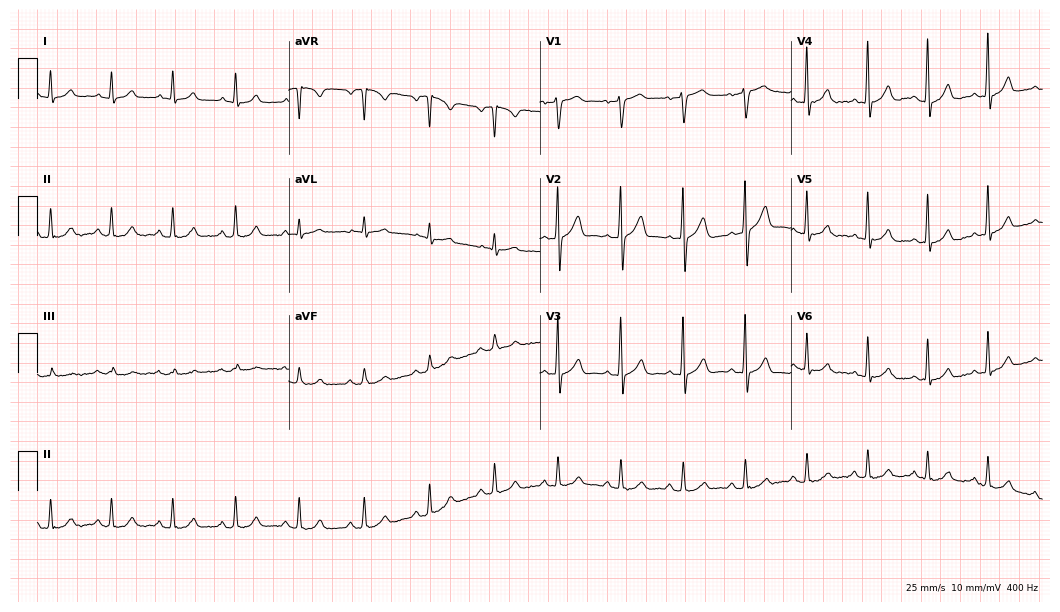
Standard 12-lead ECG recorded from a 56-year-old male (10.2-second recording at 400 Hz). Read as a normal ECG.